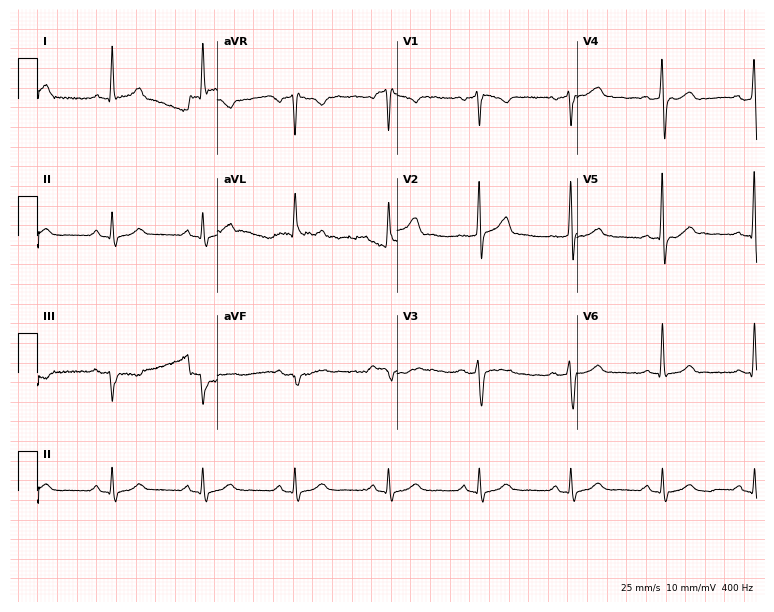
ECG — a male patient, 57 years old. Screened for six findings — first-degree AV block, right bundle branch block, left bundle branch block, sinus bradycardia, atrial fibrillation, sinus tachycardia — none is recorded. Findings outside these six are not listed.